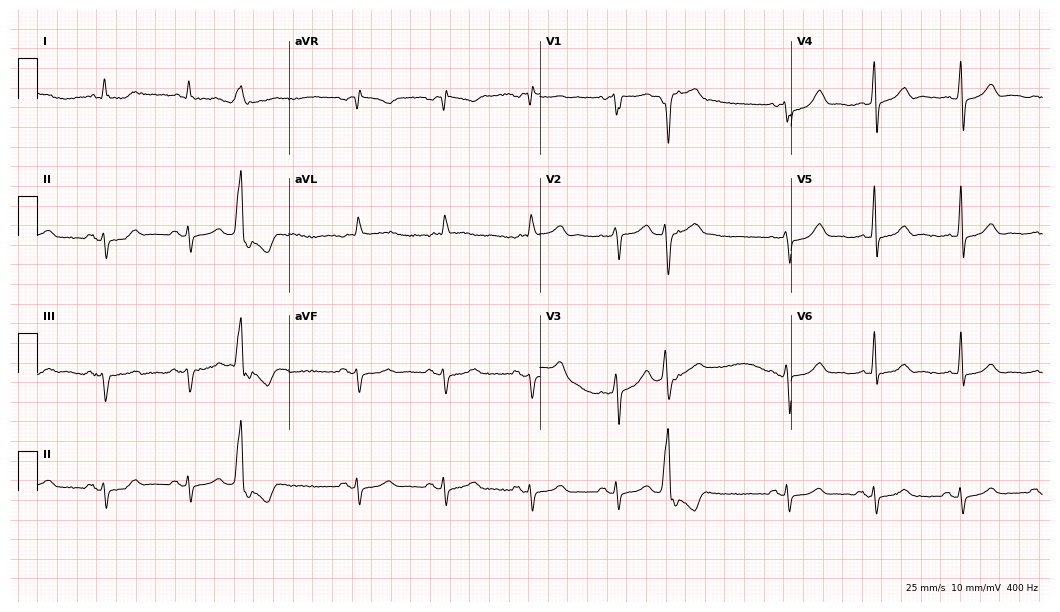
Resting 12-lead electrocardiogram. Patient: an 83-year-old male. None of these six findings is recorded: first-degree AV block, right bundle branch block, left bundle branch block, sinus bradycardia, atrial fibrillation, sinus tachycardia.